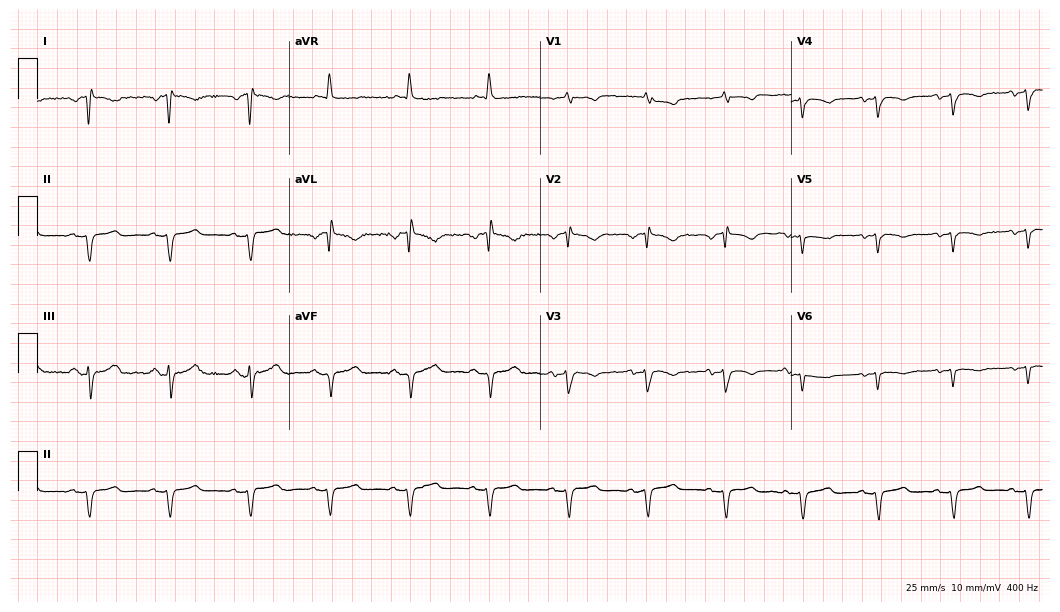
Resting 12-lead electrocardiogram. Patient: a 66-year-old man. None of these six findings is recorded: first-degree AV block, right bundle branch block, left bundle branch block, sinus bradycardia, atrial fibrillation, sinus tachycardia. Only these six findings were labelled.